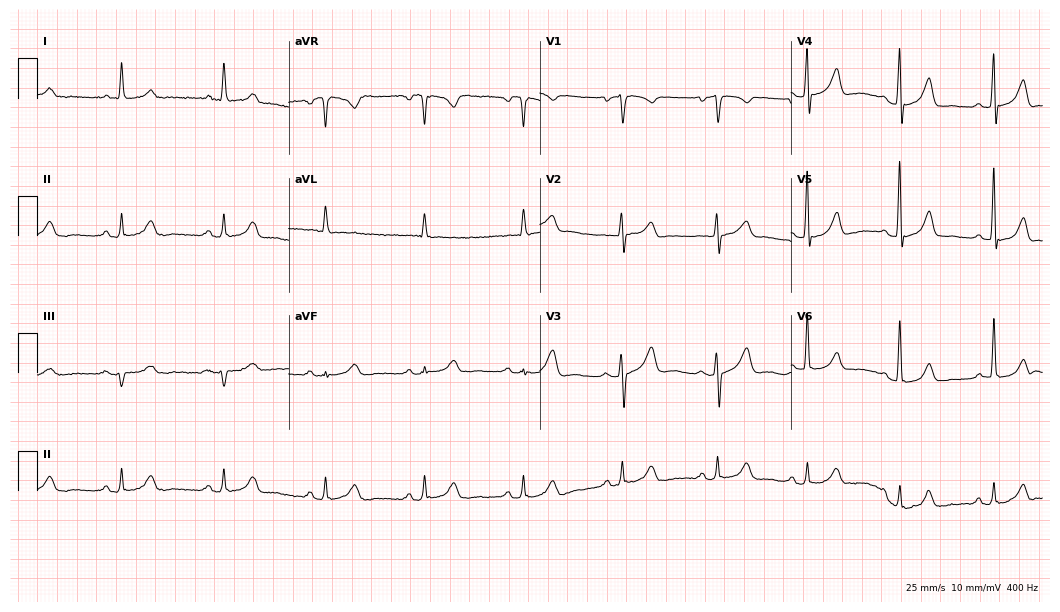
Resting 12-lead electrocardiogram. Patient: a female, 67 years old. Read as a normal ECG.